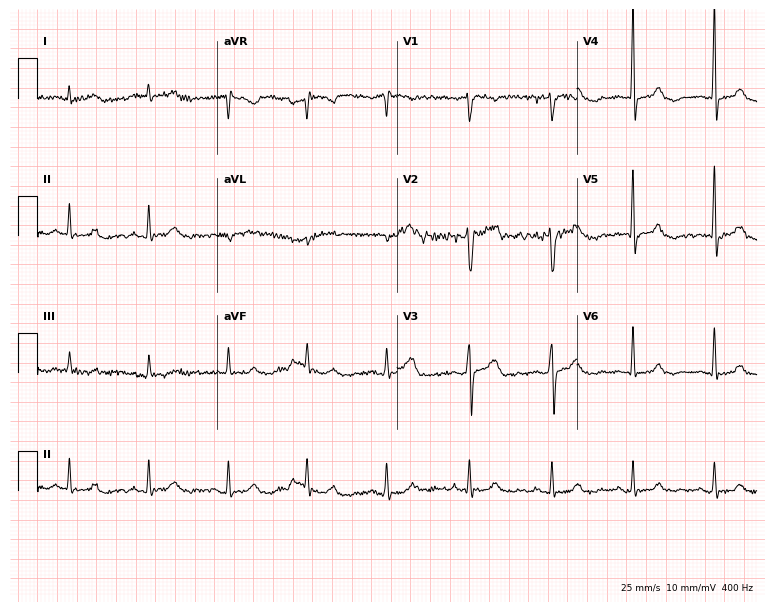
12-lead ECG from a 50-year-old man. Recorded interpretation: within normal limits.